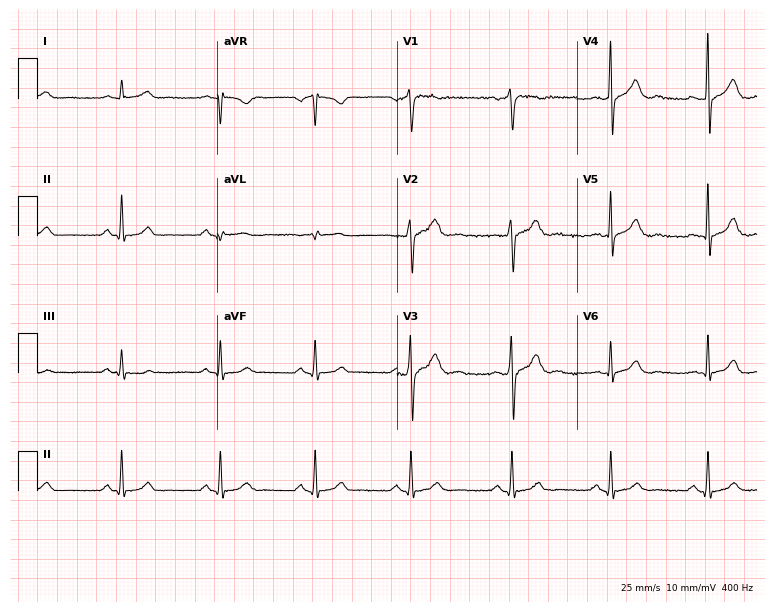
Standard 12-lead ECG recorded from a male patient, 40 years old (7.3-second recording at 400 Hz). Read as a normal ECG.